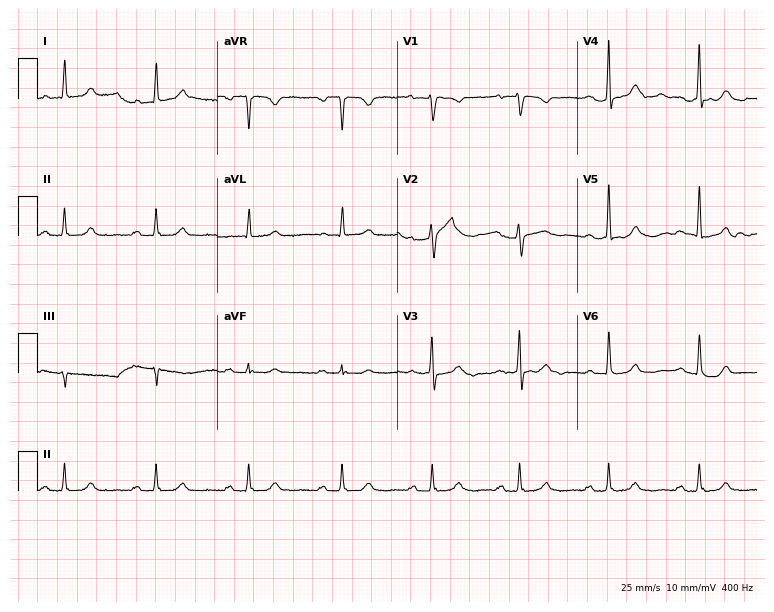
Resting 12-lead electrocardiogram (7.3-second recording at 400 Hz). Patient: a 61-year-old female. Read as a normal ECG.